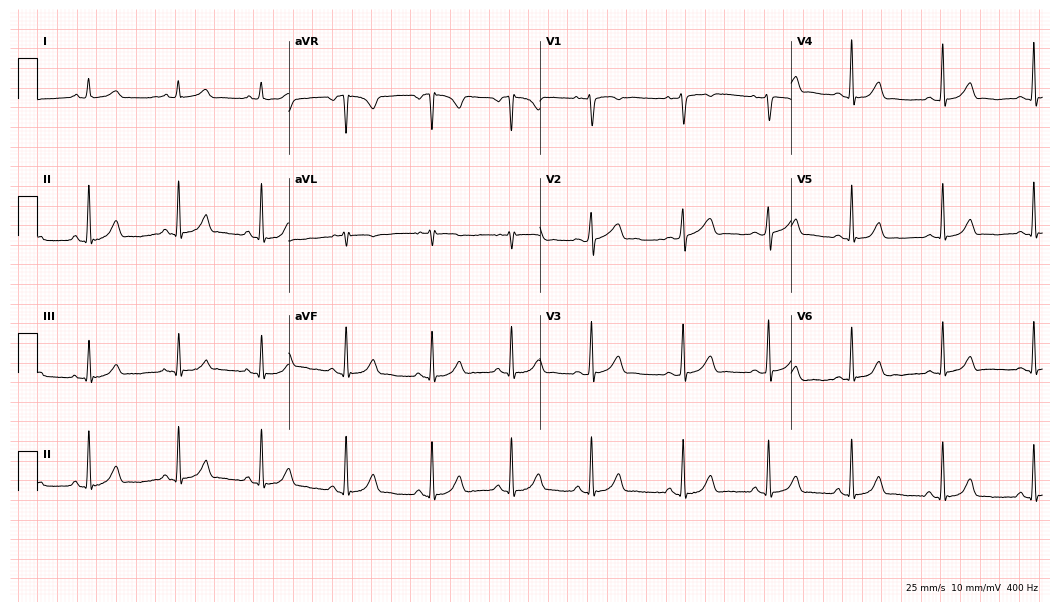
ECG (10.2-second recording at 400 Hz) — a female, 17 years old. Labelled as a normal ECG.